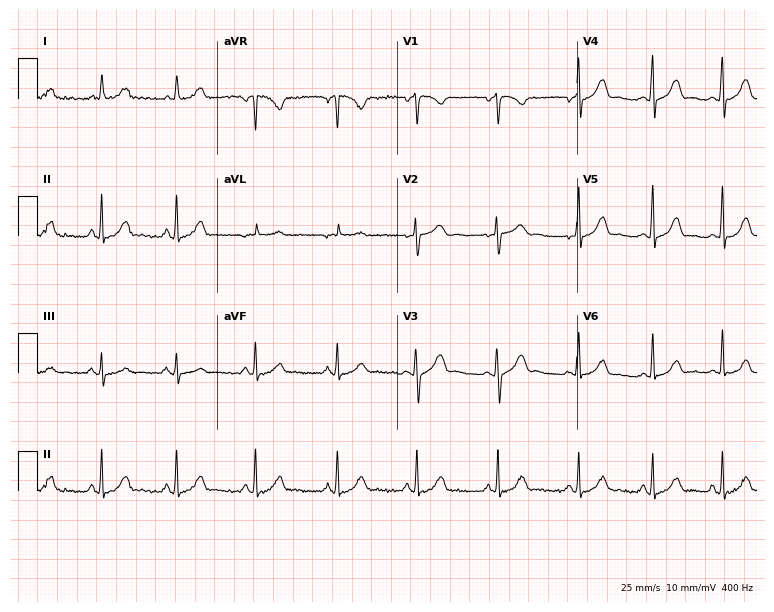
12-lead ECG from a 26-year-old female patient. Screened for six findings — first-degree AV block, right bundle branch block, left bundle branch block, sinus bradycardia, atrial fibrillation, sinus tachycardia — none is recorded.